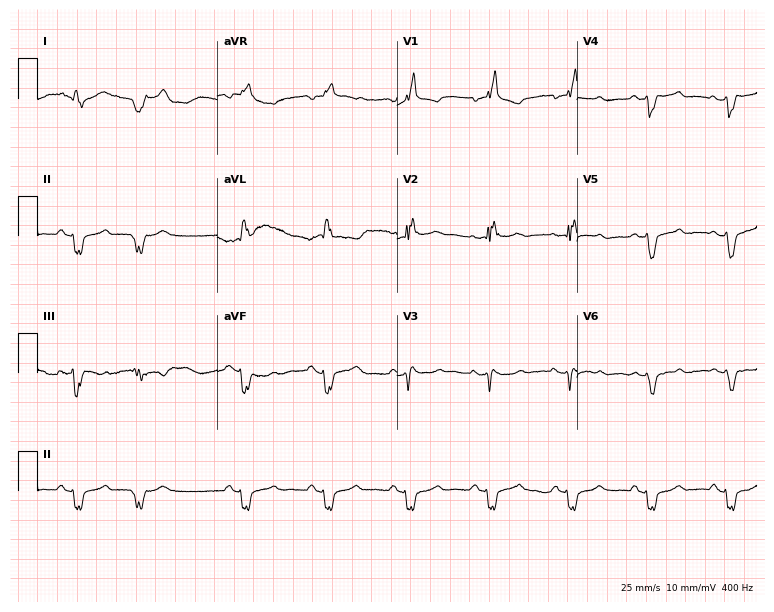
Resting 12-lead electrocardiogram (7.3-second recording at 400 Hz). Patient: a man, 52 years old. The tracing shows right bundle branch block.